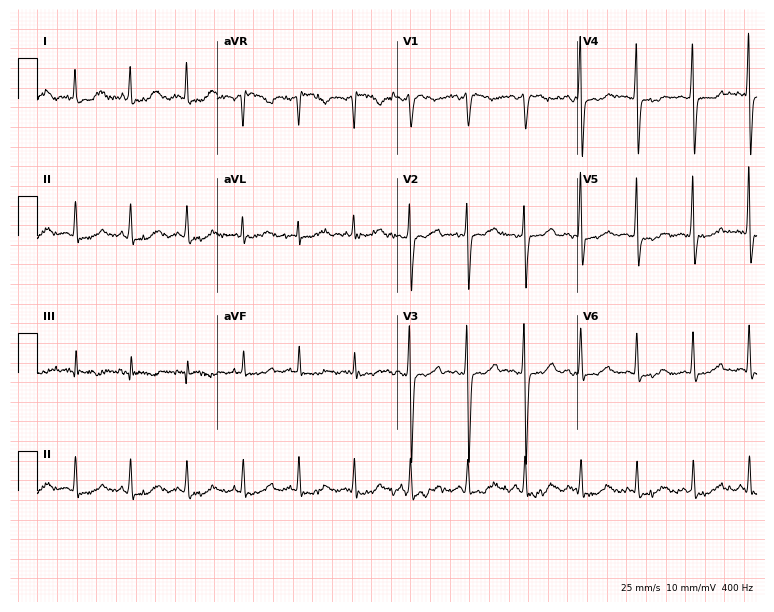
ECG — a female patient, 47 years old. Findings include sinus tachycardia (a sinus rate of 100 beats per minute or more).